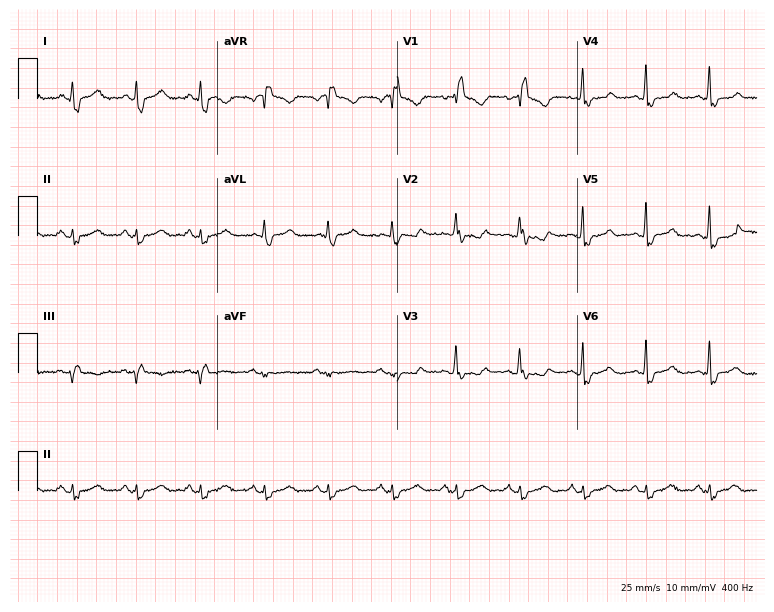
Electrocardiogram, a female patient, 45 years old. Interpretation includes right bundle branch block.